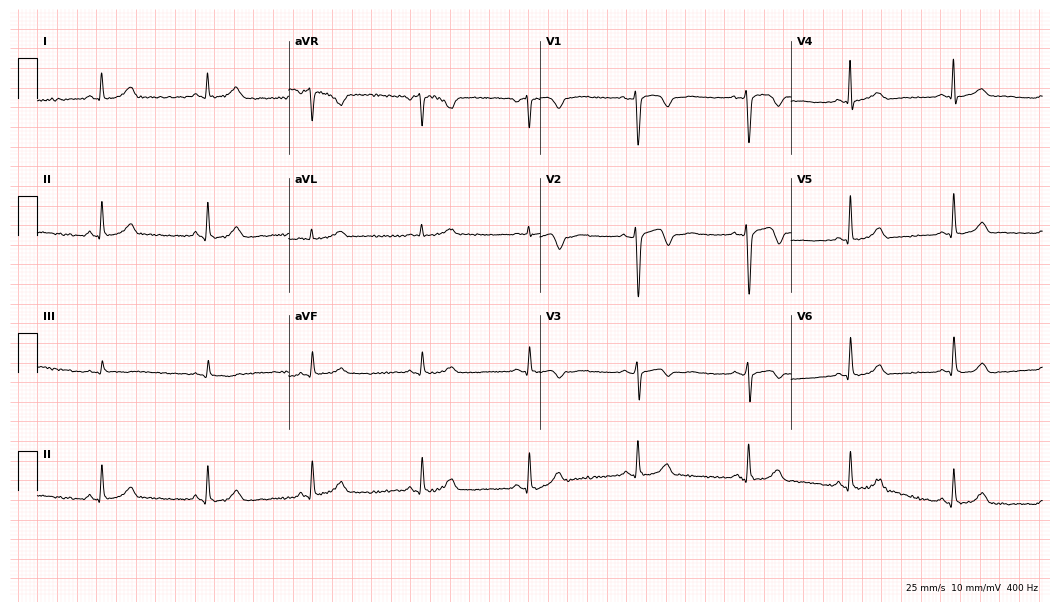
12-lead ECG from a female, 49 years old. No first-degree AV block, right bundle branch block, left bundle branch block, sinus bradycardia, atrial fibrillation or sinus tachycardia recorded for this tracing. Other findings, if any, are not listed.